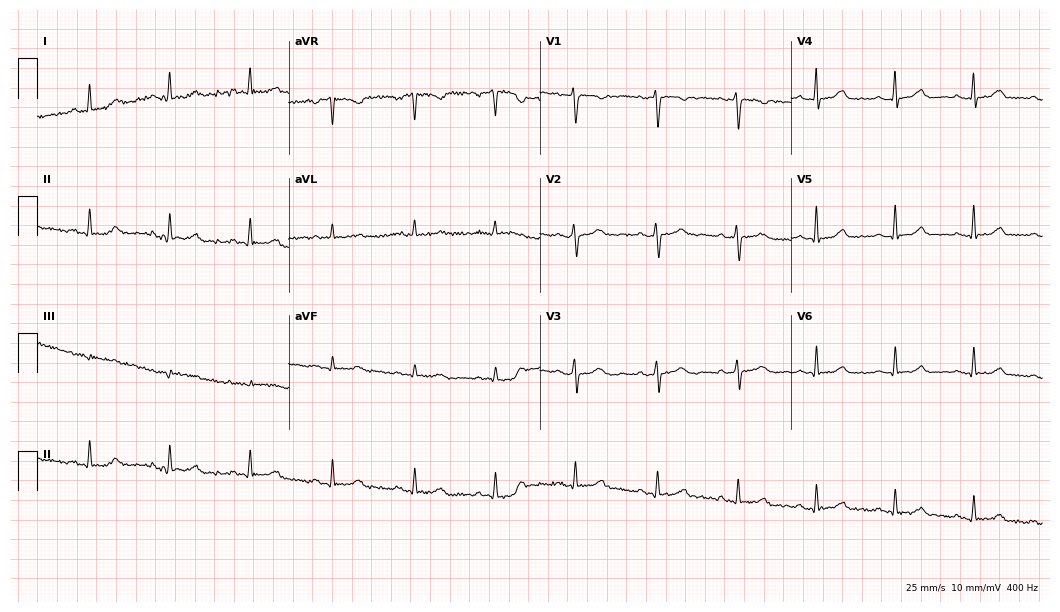
Electrocardiogram (10.2-second recording at 400 Hz), a 26-year-old female patient. Overall reading on record: normal ECG.